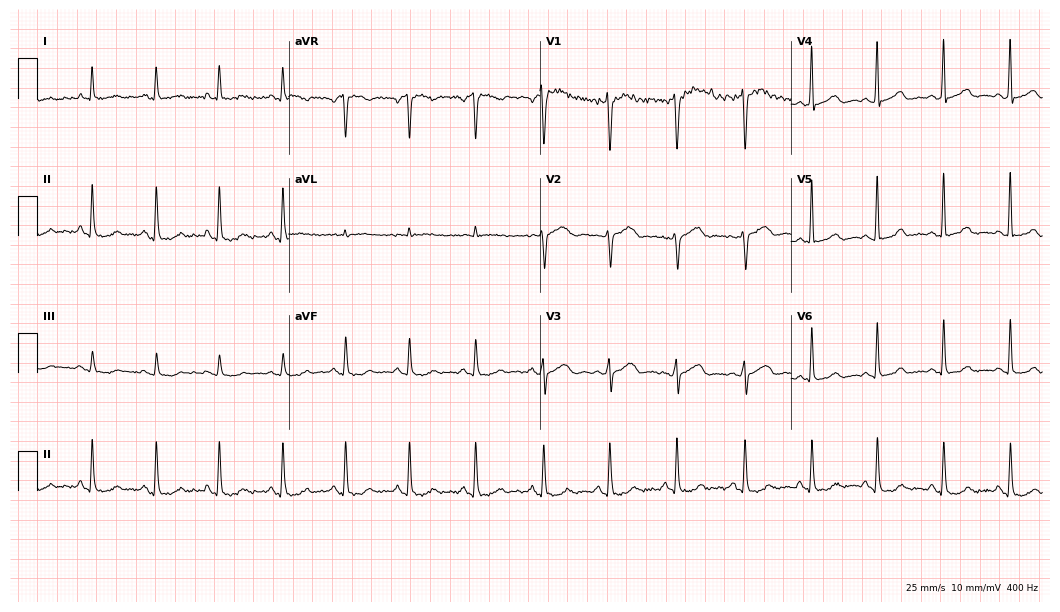
ECG (10.2-second recording at 400 Hz) — a female patient, 46 years old. Labelled as a normal ECG.